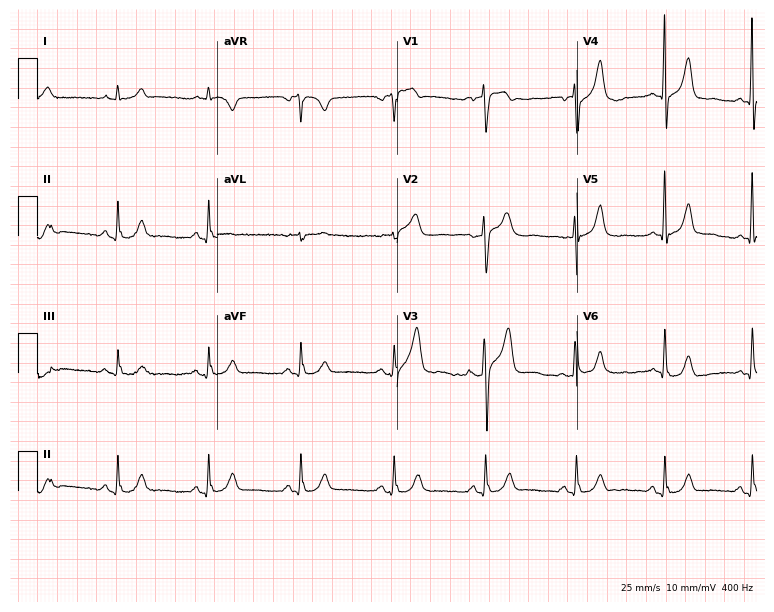
12-lead ECG (7.3-second recording at 400 Hz) from a man, 72 years old. Screened for six findings — first-degree AV block, right bundle branch block, left bundle branch block, sinus bradycardia, atrial fibrillation, sinus tachycardia — none is recorded.